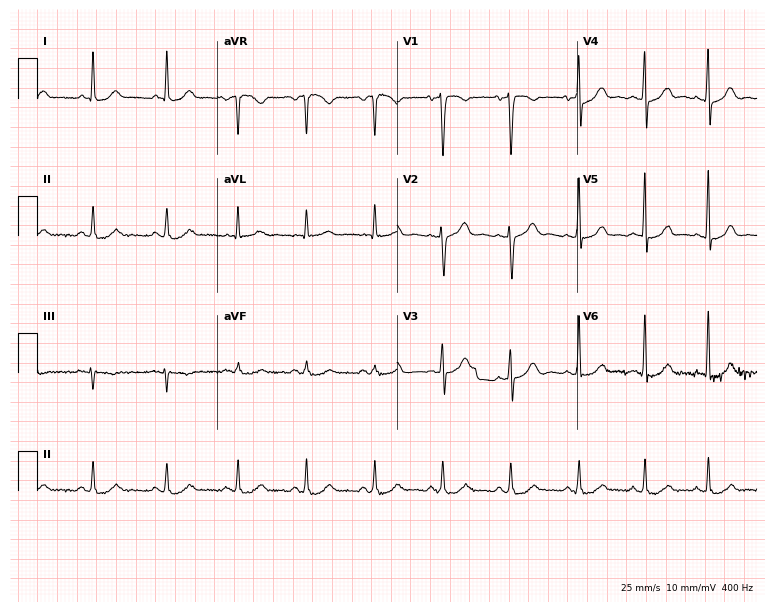
Standard 12-lead ECG recorded from a 50-year-old woman (7.3-second recording at 400 Hz). None of these six findings is recorded: first-degree AV block, right bundle branch block, left bundle branch block, sinus bradycardia, atrial fibrillation, sinus tachycardia. Findings outside these six are not listed.